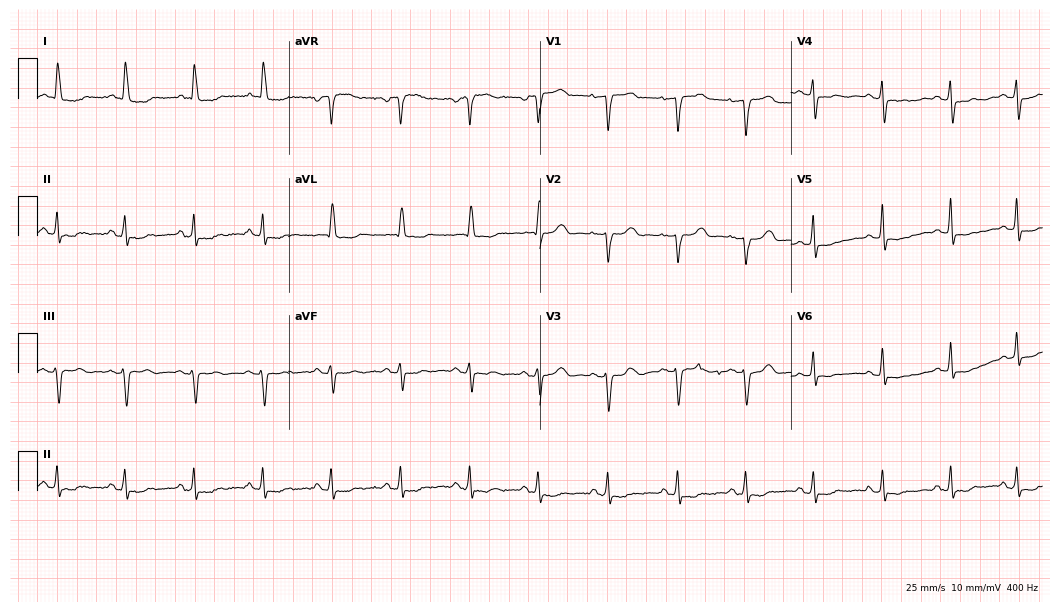
Electrocardiogram (10.2-second recording at 400 Hz), a female, 63 years old. Of the six screened findings (first-degree AV block, right bundle branch block, left bundle branch block, sinus bradycardia, atrial fibrillation, sinus tachycardia), none is recorded.